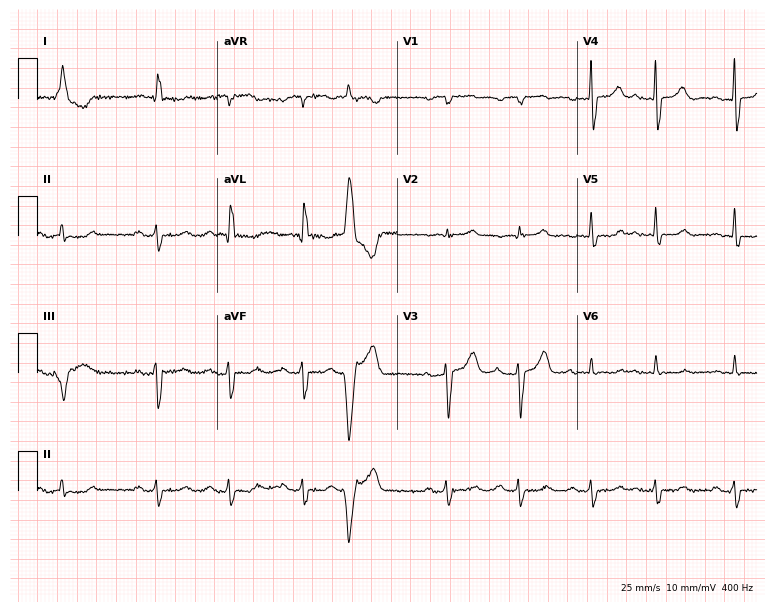
12-lead ECG from a 78-year-old woman (7.3-second recording at 400 Hz). Shows first-degree AV block.